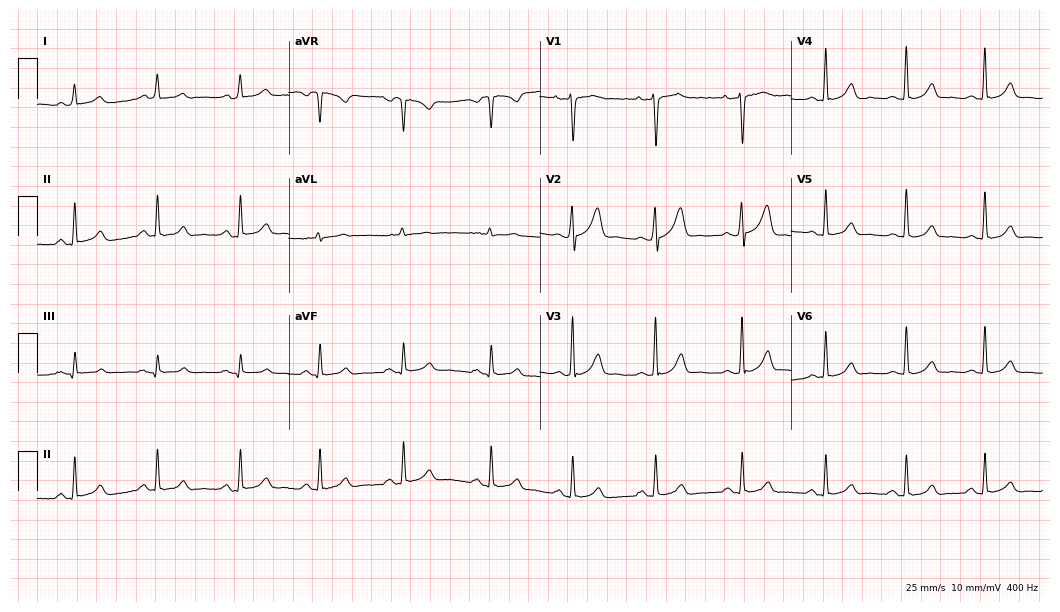
Standard 12-lead ECG recorded from a woman, 25 years old (10.2-second recording at 400 Hz). Read as a normal ECG.